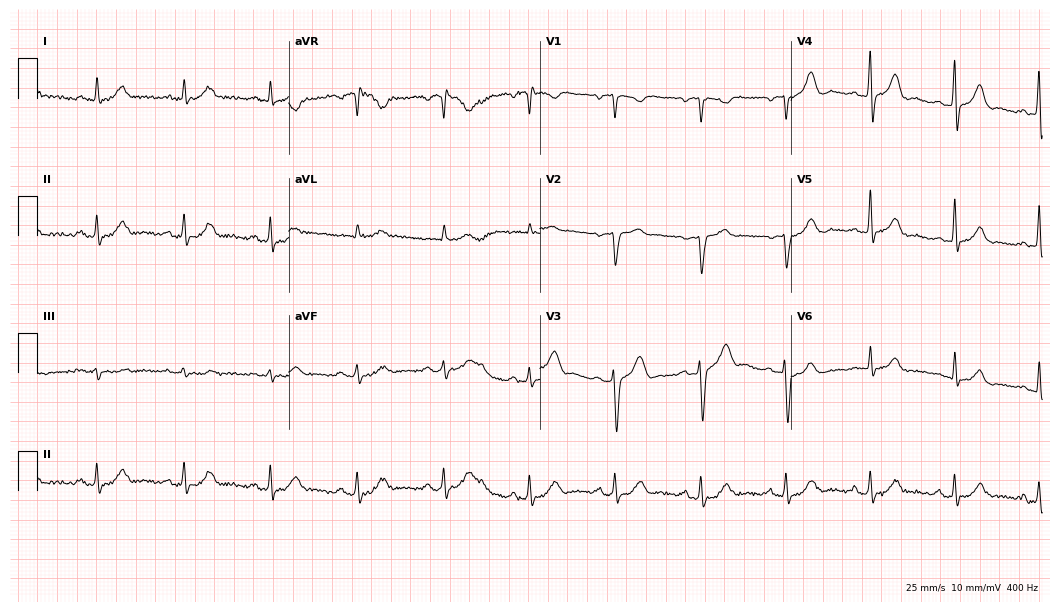
12-lead ECG from a man, 61 years old. Recorded interpretation: within normal limits.